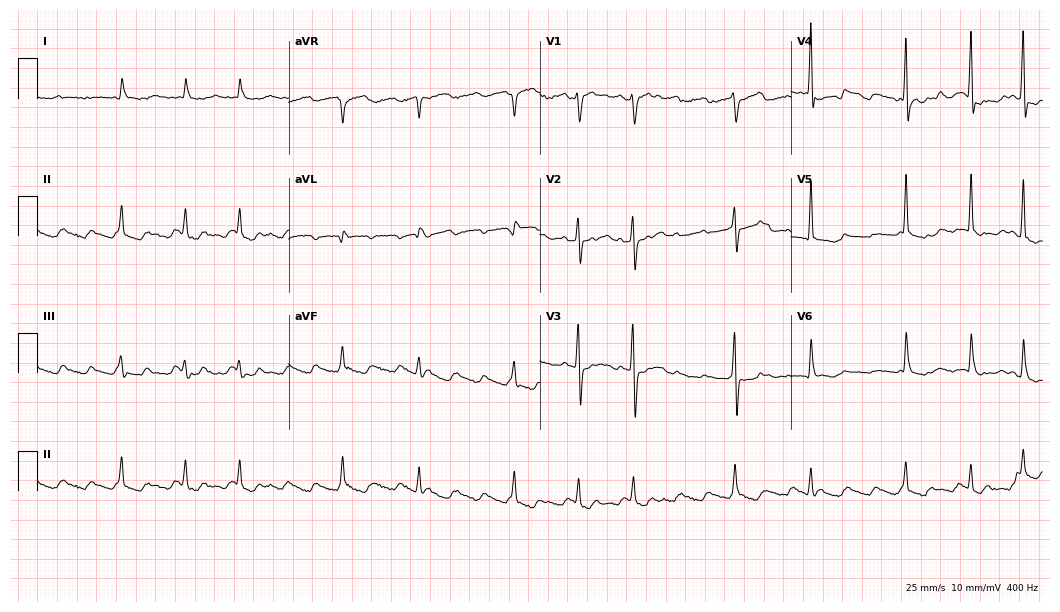
Electrocardiogram, a male, 71 years old. Interpretation includes atrial fibrillation (AF).